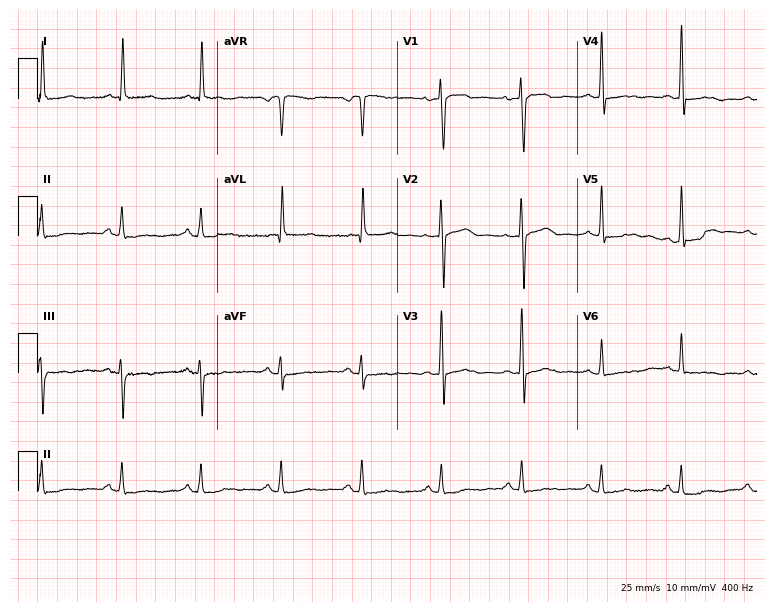
12-lead ECG from a female, 65 years old. No first-degree AV block, right bundle branch block, left bundle branch block, sinus bradycardia, atrial fibrillation or sinus tachycardia recorded for this tracing.